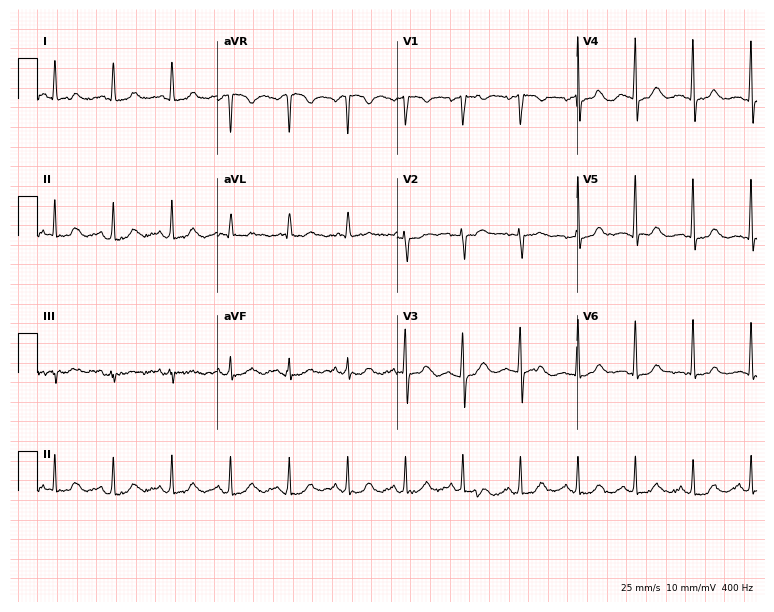
12-lead ECG (7.3-second recording at 400 Hz) from a 74-year-old female. Findings include sinus tachycardia (a sinus rate of 100 beats per minute or more).